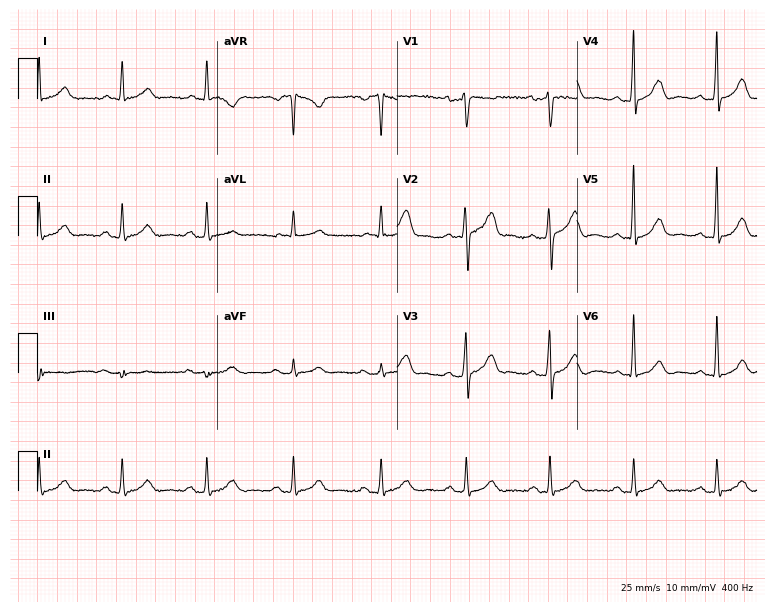
12-lead ECG from a male, 46 years old. Recorded interpretation: within normal limits.